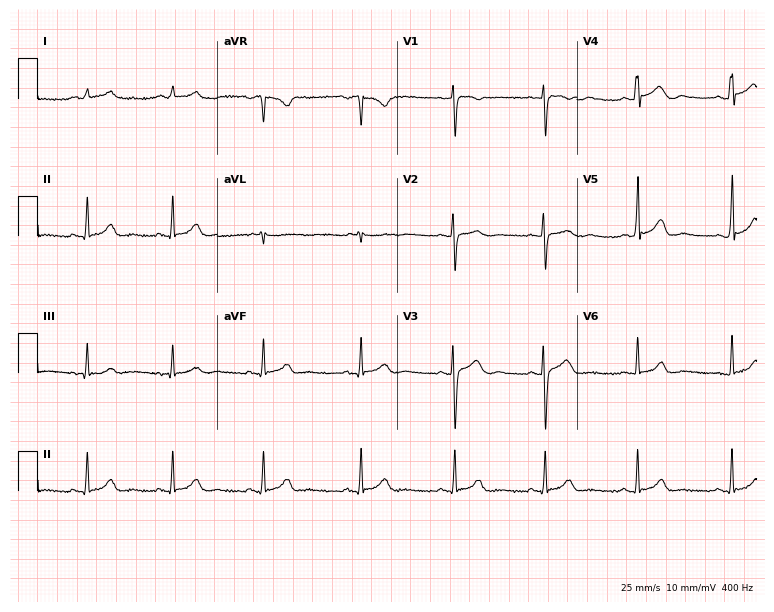
12-lead ECG from a female, 31 years old. Labelled as a normal ECG.